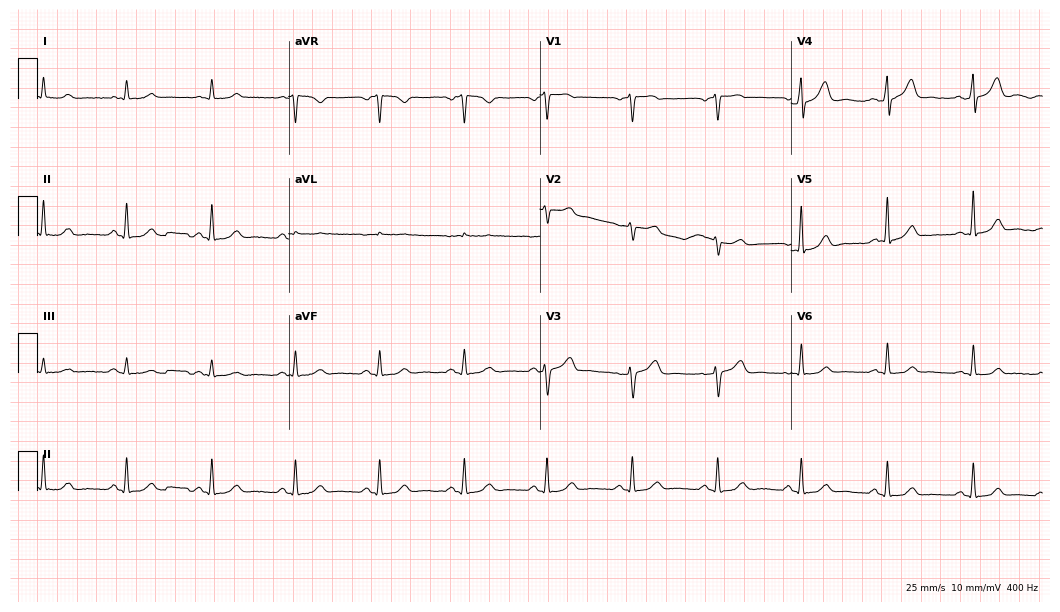
Resting 12-lead electrocardiogram. Patient: a 64-year-old woman. Read as a normal ECG.